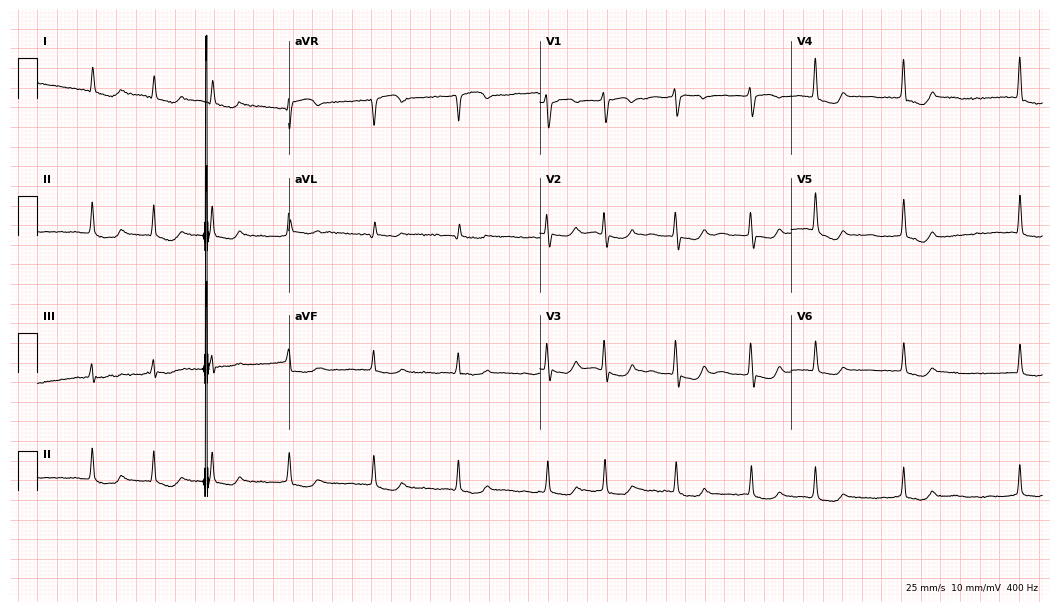
12-lead ECG from a 77-year-old female patient (10.2-second recording at 400 Hz). Shows atrial fibrillation (AF).